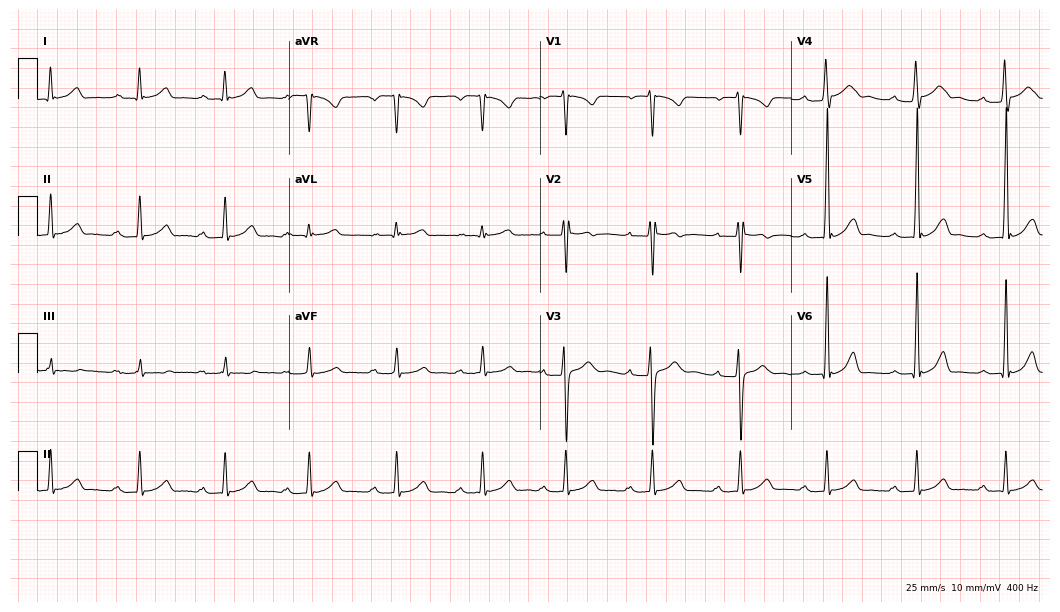
ECG — an 18-year-old male. Labelled as a normal ECG.